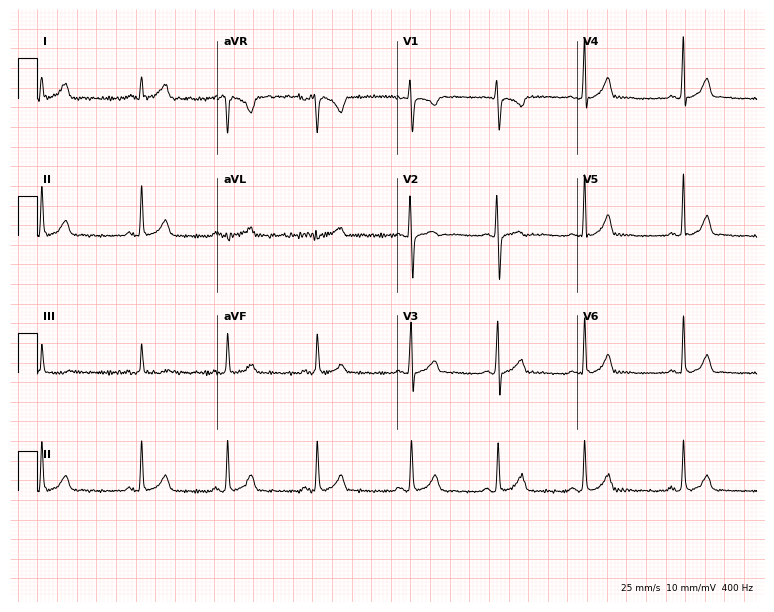
Resting 12-lead electrocardiogram. Patient: a 30-year-old woman. Read as a normal ECG.